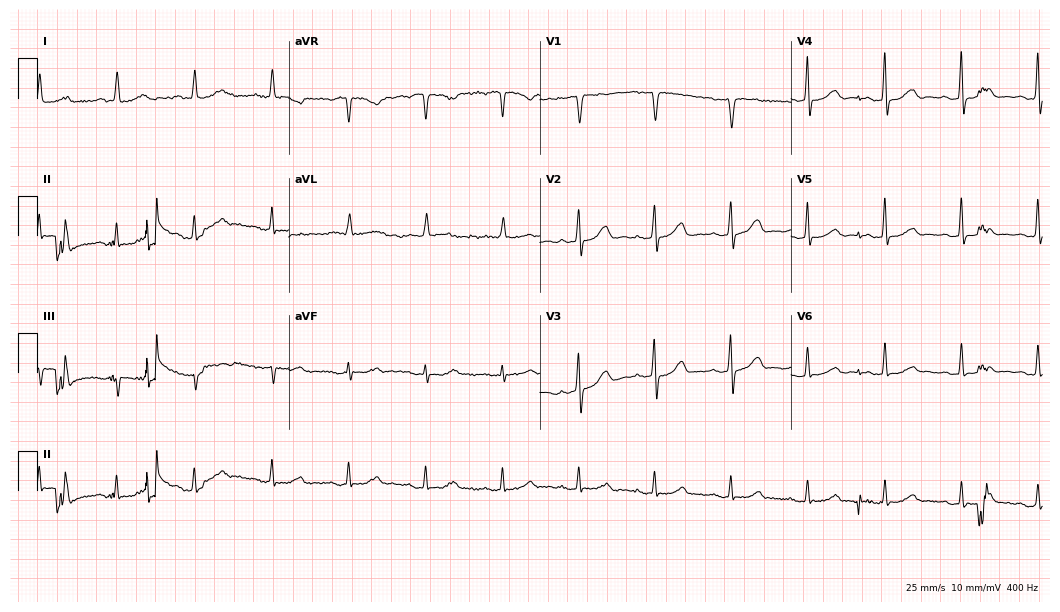
Standard 12-lead ECG recorded from a 72-year-old female patient. Read as a normal ECG.